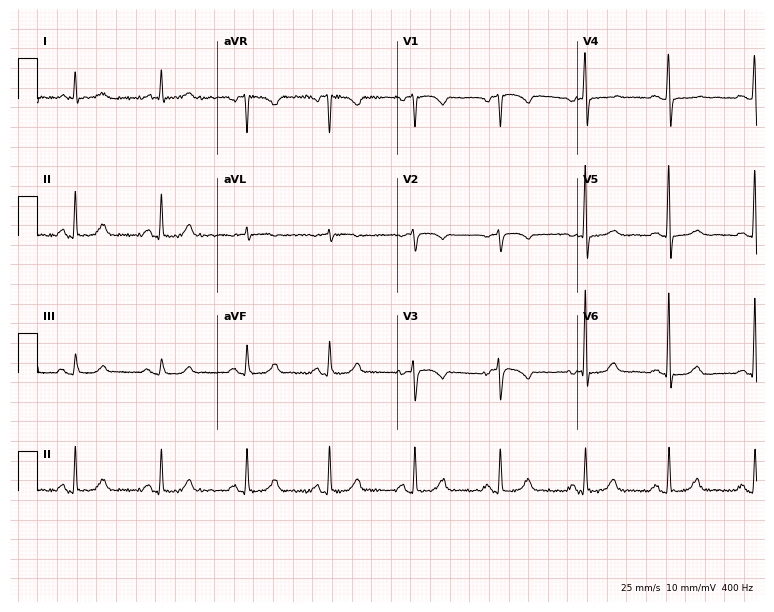
ECG — a 67-year-old female. Screened for six findings — first-degree AV block, right bundle branch block, left bundle branch block, sinus bradycardia, atrial fibrillation, sinus tachycardia — none is recorded. Findings outside these six are not listed.